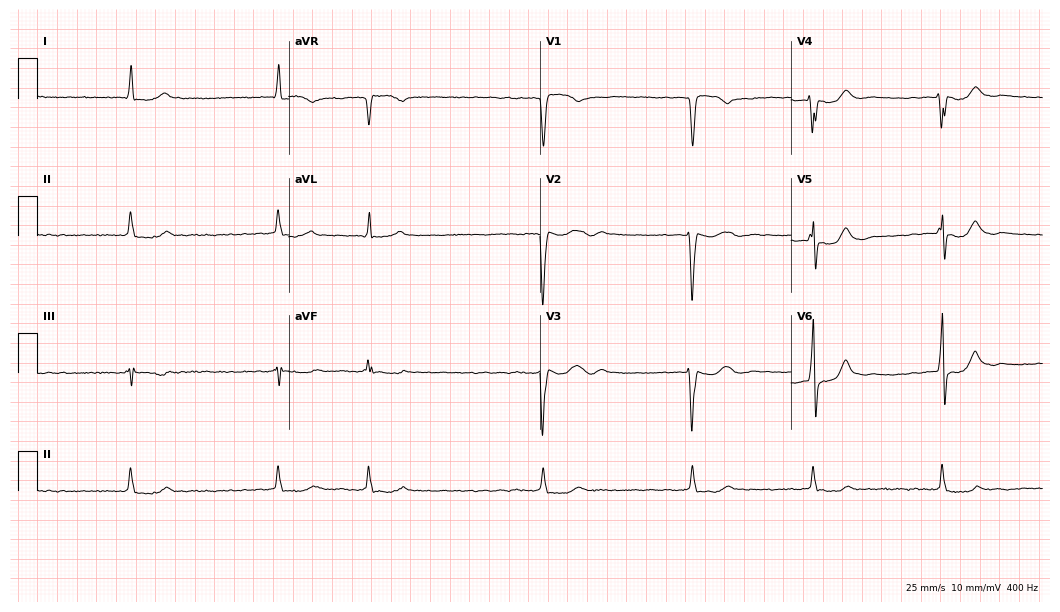
Resting 12-lead electrocardiogram. Patient: an 80-year-old male. None of these six findings is recorded: first-degree AV block, right bundle branch block, left bundle branch block, sinus bradycardia, atrial fibrillation, sinus tachycardia. Other findings, if any, are not listed.